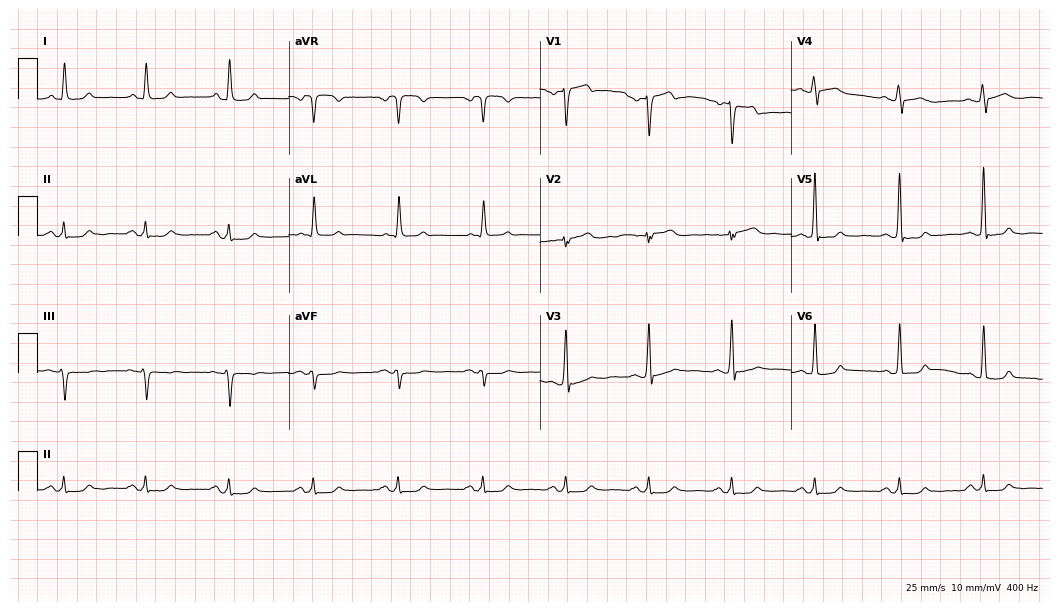
ECG — a 54-year-old male patient. Screened for six findings — first-degree AV block, right bundle branch block (RBBB), left bundle branch block (LBBB), sinus bradycardia, atrial fibrillation (AF), sinus tachycardia — none is recorded. Findings outside these six are not listed.